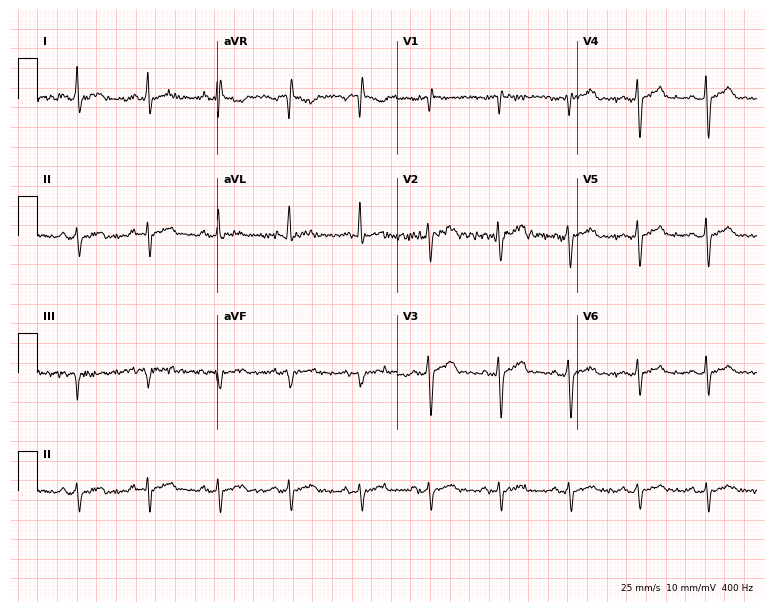
Resting 12-lead electrocardiogram (7.3-second recording at 400 Hz). Patient: a male, 33 years old. None of these six findings is recorded: first-degree AV block, right bundle branch block, left bundle branch block, sinus bradycardia, atrial fibrillation, sinus tachycardia. Only these six findings were labelled.